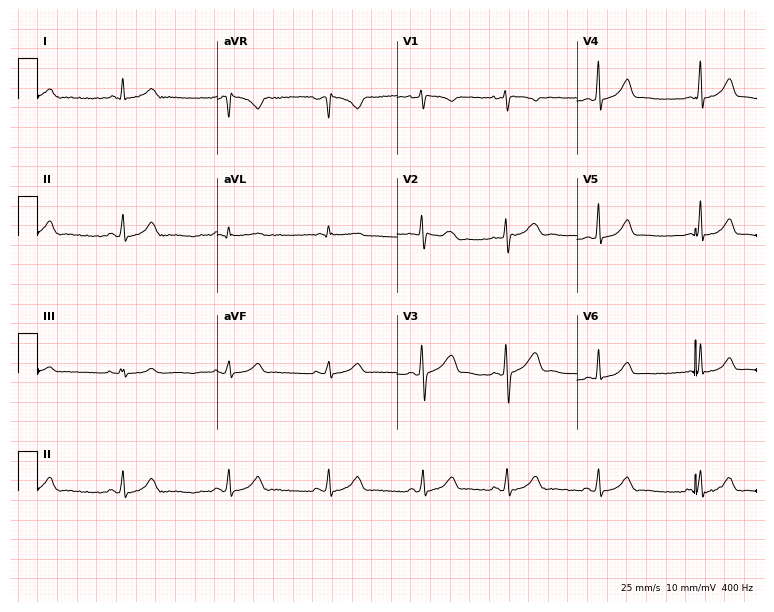
Standard 12-lead ECG recorded from a 32-year-old woman (7.3-second recording at 400 Hz). None of these six findings is recorded: first-degree AV block, right bundle branch block (RBBB), left bundle branch block (LBBB), sinus bradycardia, atrial fibrillation (AF), sinus tachycardia. Only these six findings were labelled.